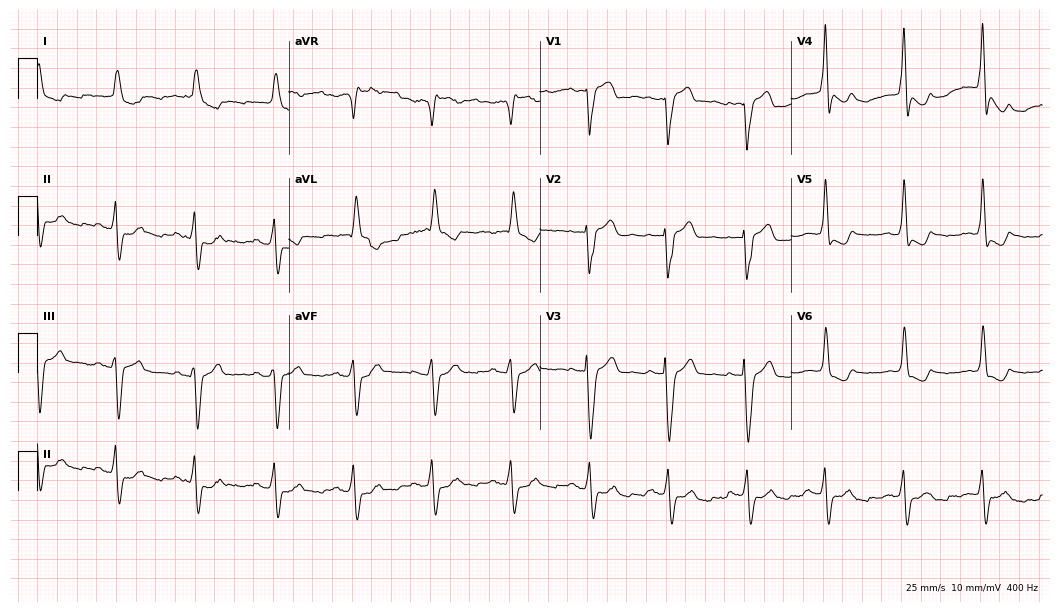
Resting 12-lead electrocardiogram. Patient: a woman, 78 years old. The tracing shows left bundle branch block.